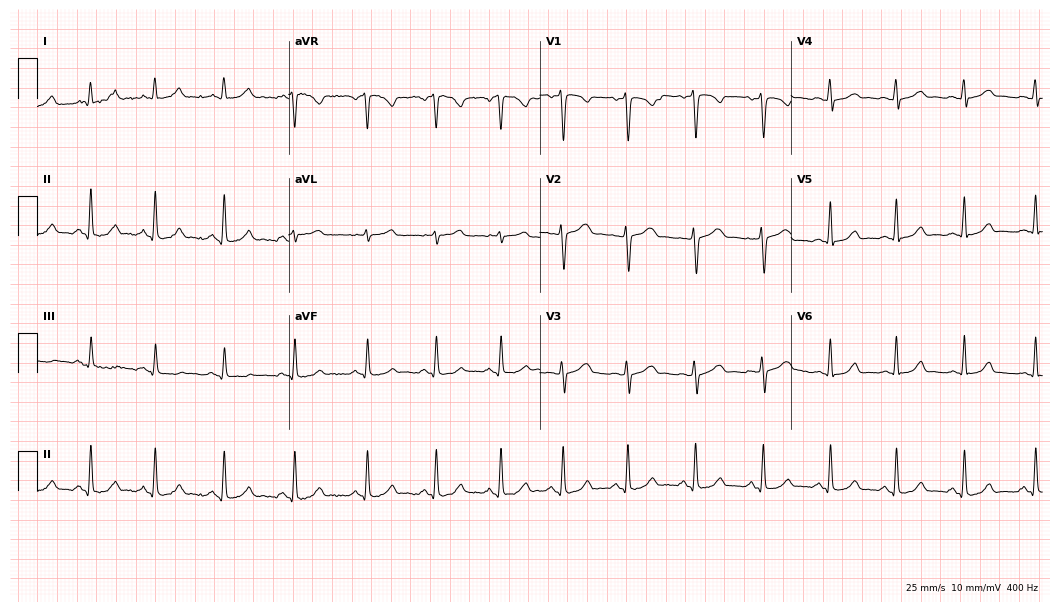
Electrocardiogram (10.2-second recording at 400 Hz), a 31-year-old female patient. Overall reading on record: normal ECG.